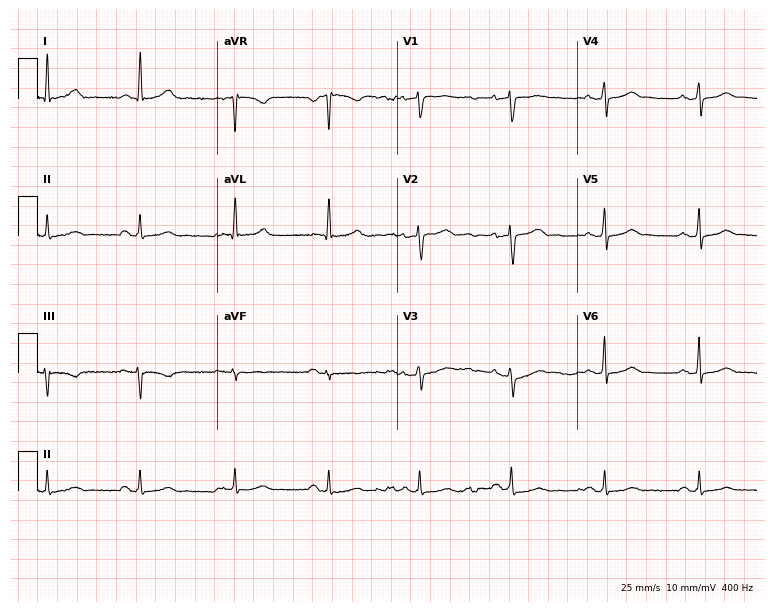
ECG (7.3-second recording at 400 Hz) — a 55-year-old woman. Labelled as a normal ECG.